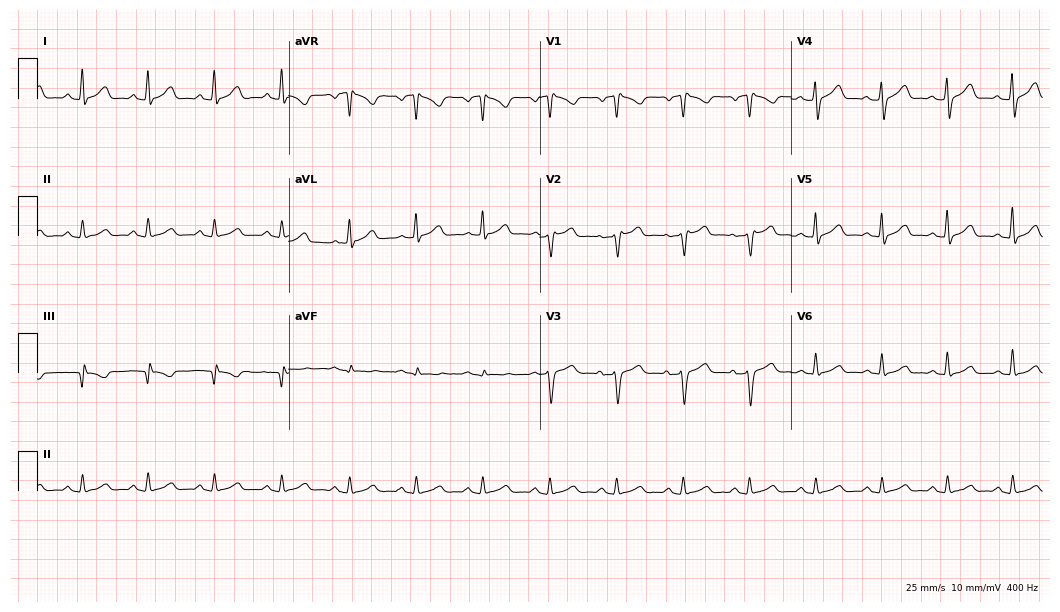
Electrocardiogram (10.2-second recording at 400 Hz), a female, 53 years old. Of the six screened findings (first-degree AV block, right bundle branch block (RBBB), left bundle branch block (LBBB), sinus bradycardia, atrial fibrillation (AF), sinus tachycardia), none is recorded. Only these six findings were labelled.